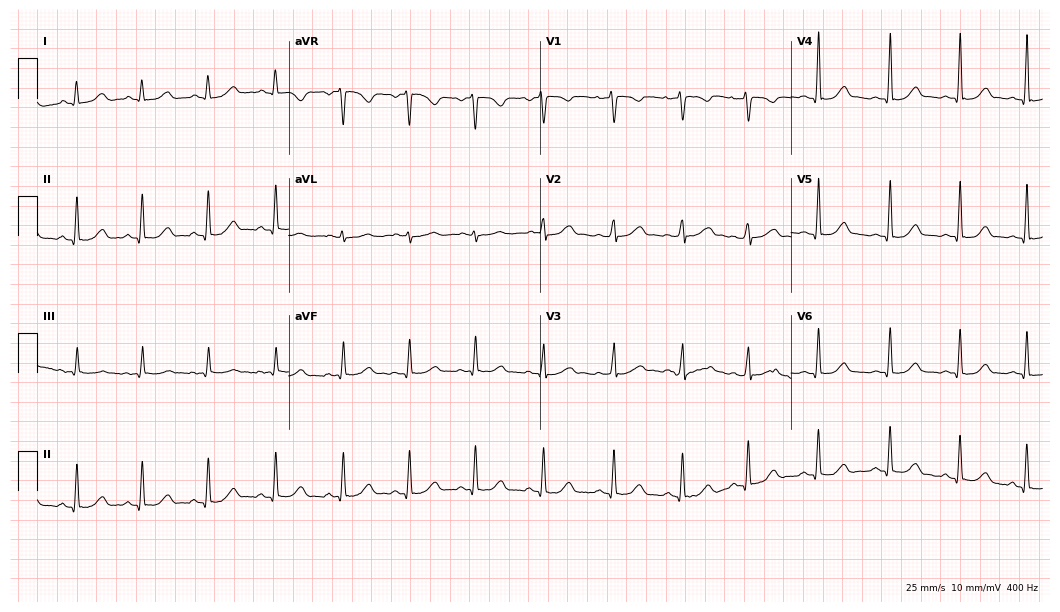
Resting 12-lead electrocardiogram (10.2-second recording at 400 Hz). Patient: a 29-year-old woman. Read as a normal ECG.